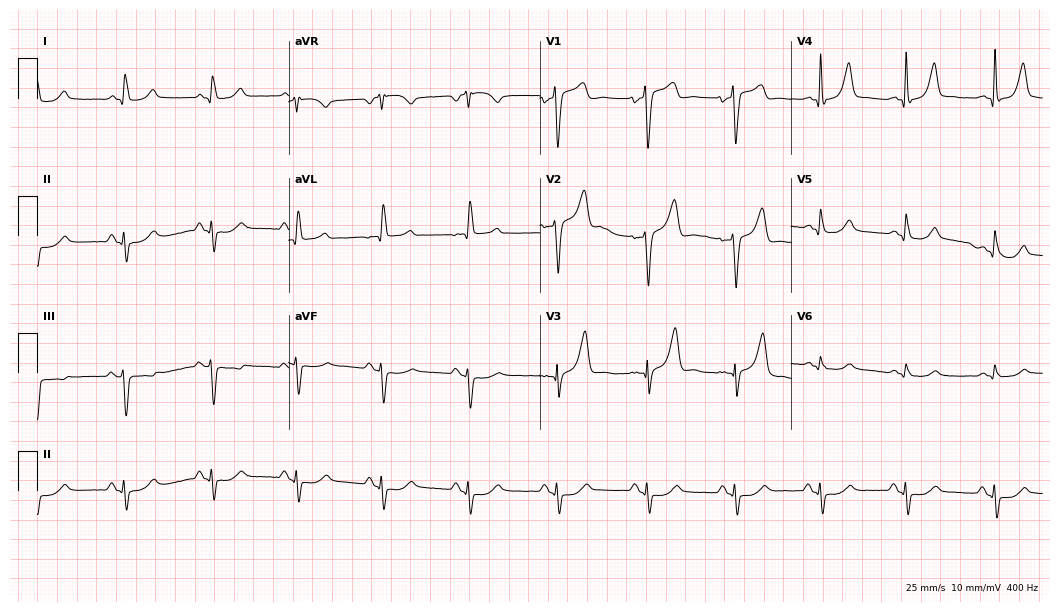
ECG — a 53-year-old male patient. Screened for six findings — first-degree AV block, right bundle branch block (RBBB), left bundle branch block (LBBB), sinus bradycardia, atrial fibrillation (AF), sinus tachycardia — none is recorded. Other findings, if any, are not listed.